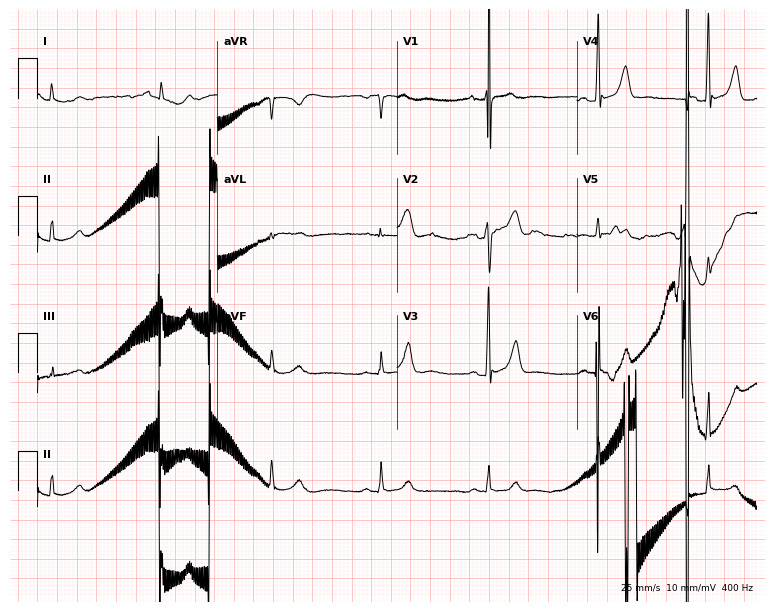
12-lead ECG (7.3-second recording at 400 Hz) from a male patient, 46 years old. Labelled as a normal ECG.